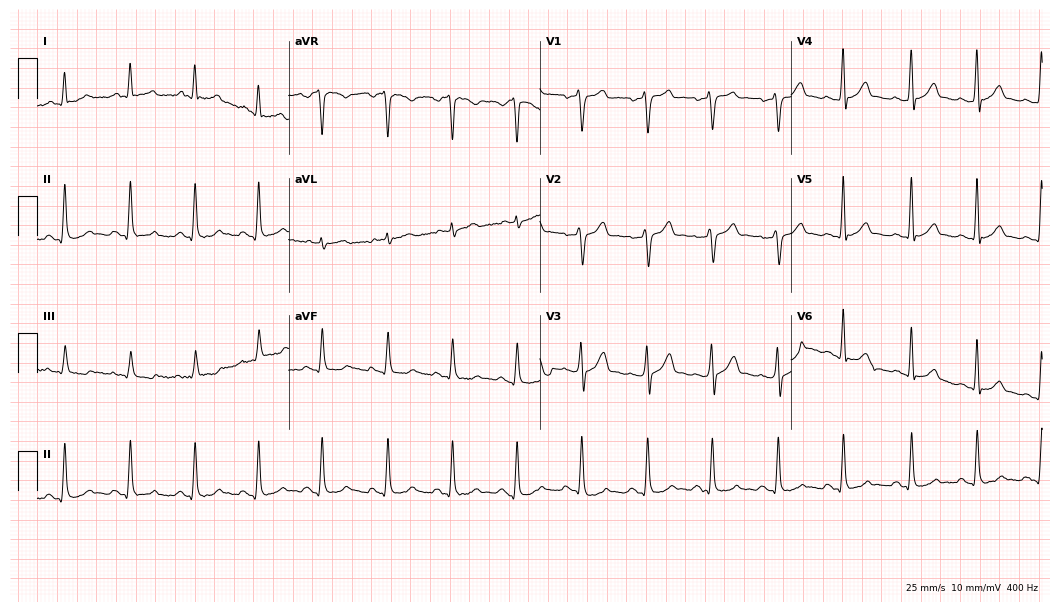
12-lead ECG (10.2-second recording at 400 Hz) from a male patient, 41 years old. Labelled as a normal ECG.